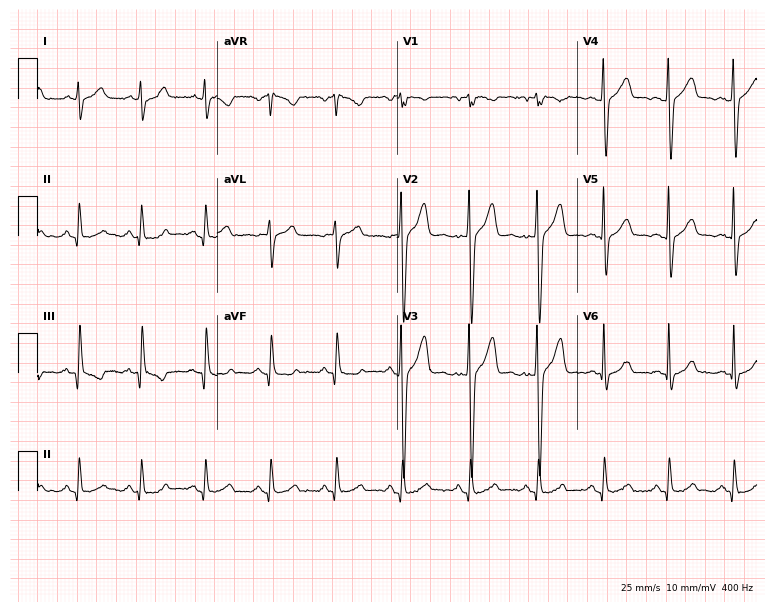
Resting 12-lead electrocardiogram. Patient: a male, 45 years old. Read as a normal ECG.